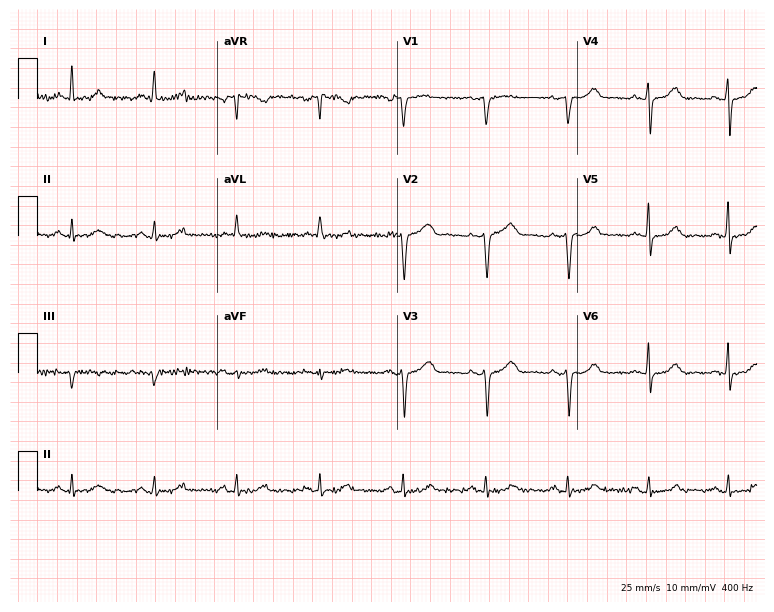
Standard 12-lead ECG recorded from a female, 50 years old. None of these six findings is recorded: first-degree AV block, right bundle branch block, left bundle branch block, sinus bradycardia, atrial fibrillation, sinus tachycardia. Findings outside these six are not listed.